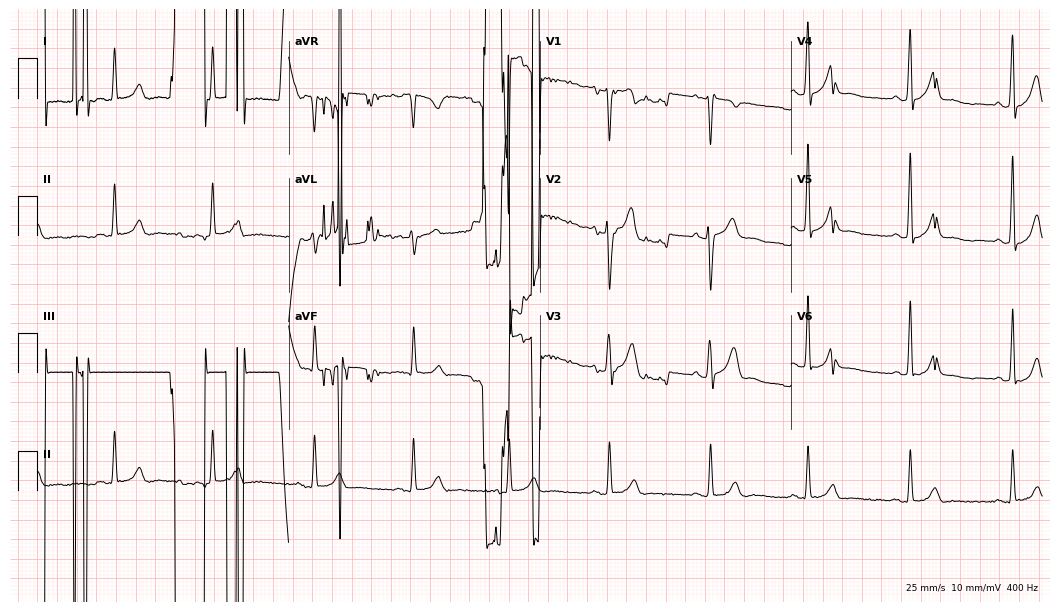
Standard 12-lead ECG recorded from a 43-year-old male. None of these six findings is recorded: first-degree AV block, right bundle branch block, left bundle branch block, sinus bradycardia, atrial fibrillation, sinus tachycardia. Findings outside these six are not listed.